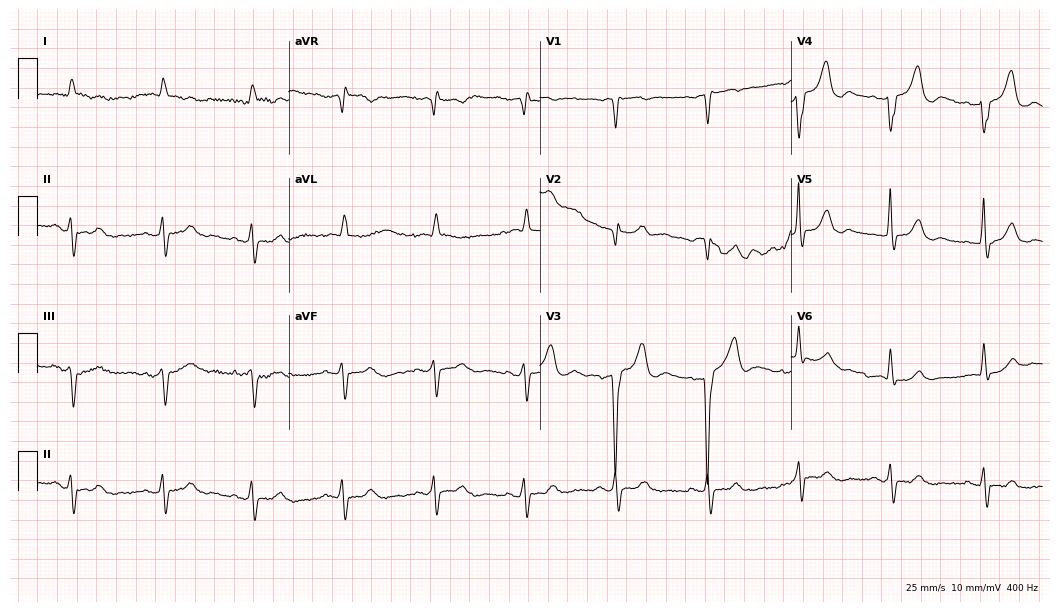
Resting 12-lead electrocardiogram. Patient: a male, 84 years old. The tracing shows atrial fibrillation.